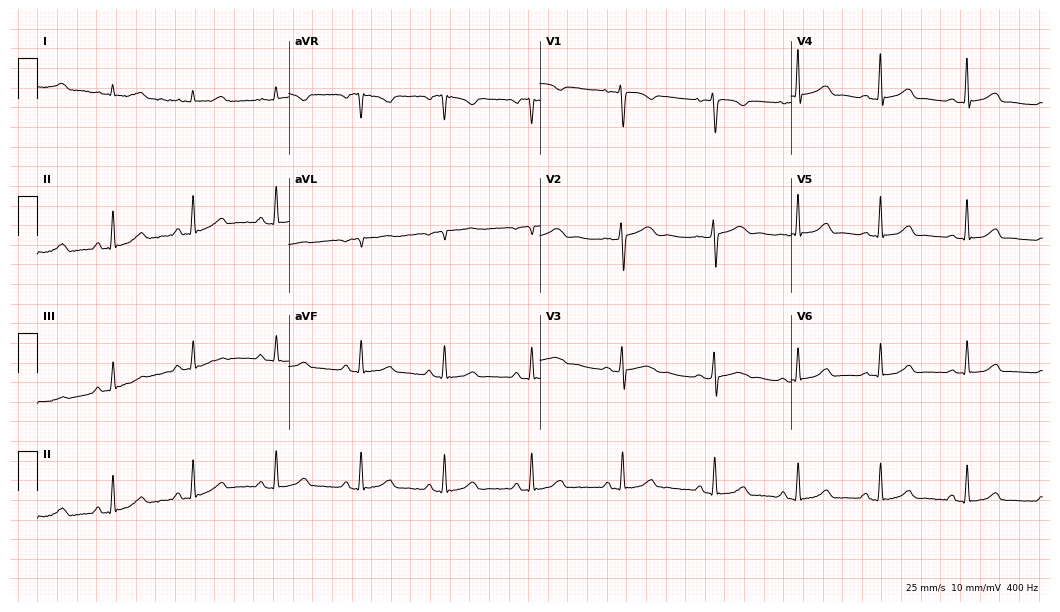
12-lead ECG from a female patient, 34 years old (10.2-second recording at 400 Hz). No first-degree AV block, right bundle branch block, left bundle branch block, sinus bradycardia, atrial fibrillation or sinus tachycardia recorded for this tracing.